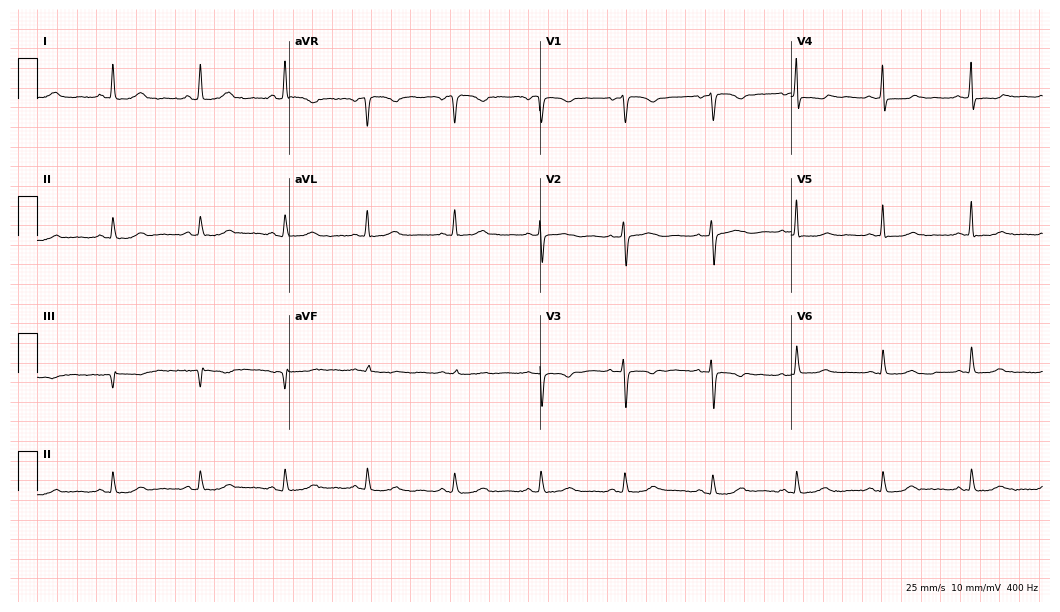
12-lead ECG (10.2-second recording at 400 Hz) from a 53-year-old female patient. Screened for six findings — first-degree AV block, right bundle branch block (RBBB), left bundle branch block (LBBB), sinus bradycardia, atrial fibrillation (AF), sinus tachycardia — none is recorded. Only these six findings were labelled.